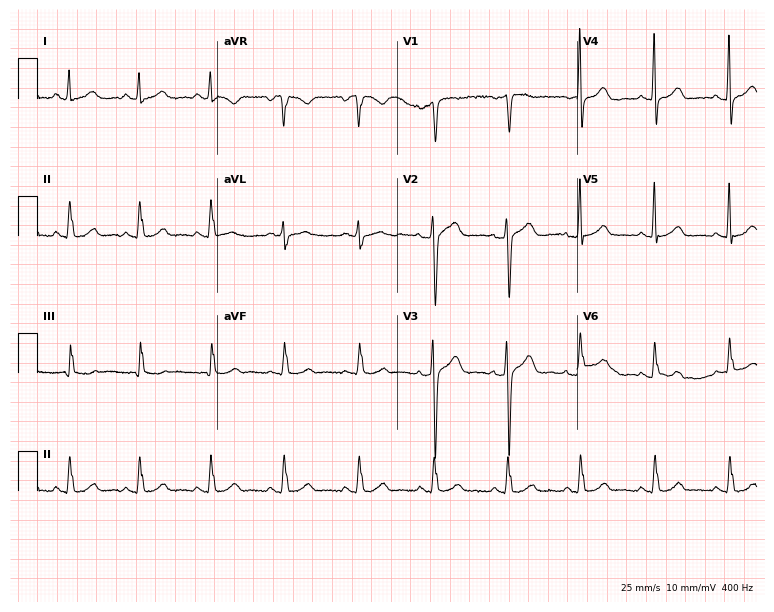
12-lead ECG (7.3-second recording at 400 Hz) from a 49-year-old female. Screened for six findings — first-degree AV block, right bundle branch block, left bundle branch block, sinus bradycardia, atrial fibrillation, sinus tachycardia — none is recorded. Only these six findings were labelled.